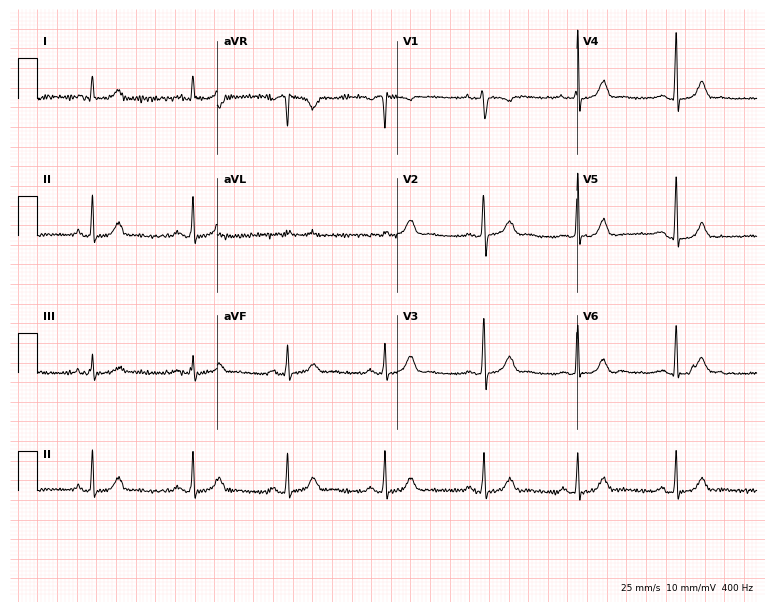
12-lead ECG (7.3-second recording at 400 Hz) from a 34-year-old female. Labelled as a normal ECG.